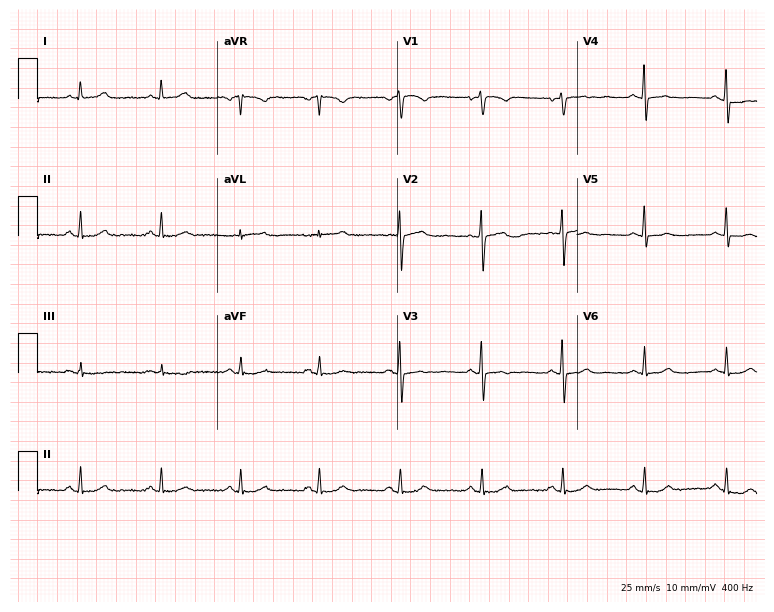
ECG — a 44-year-old female. Screened for six findings — first-degree AV block, right bundle branch block (RBBB), left bundle branch block (LBBB), sinus bradycardia, atrial fibrillation (AF), sinus tachycardia — none is recorded. Findings outside these six are not listed.